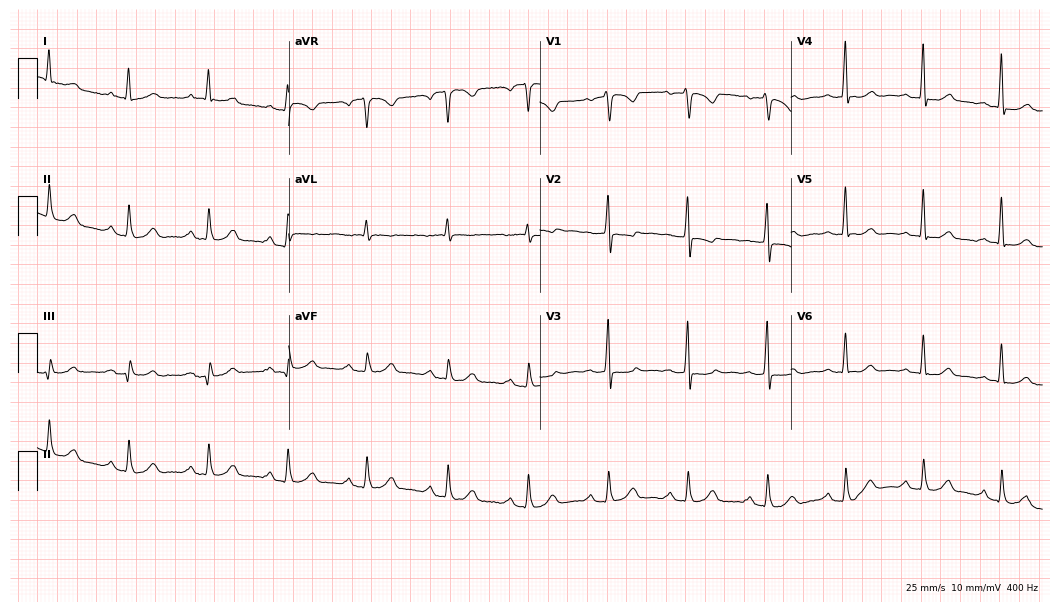
12-lead ECG from a female patient, 54 years old. Recorded interpretation: within normal limits.